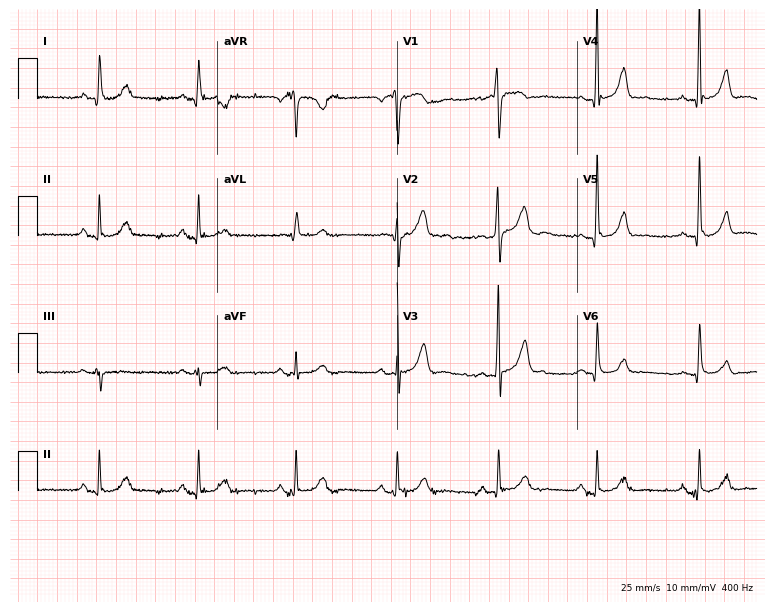
12-lead ECG from a 40-year-old man. Screened for six findings — first-degree AV block, right bundle branch block (RBBB), left bundle branch block (LBBB), sinus bradycardia, atrial fibrillation (AF), sinus tachycardia — none is recorded.